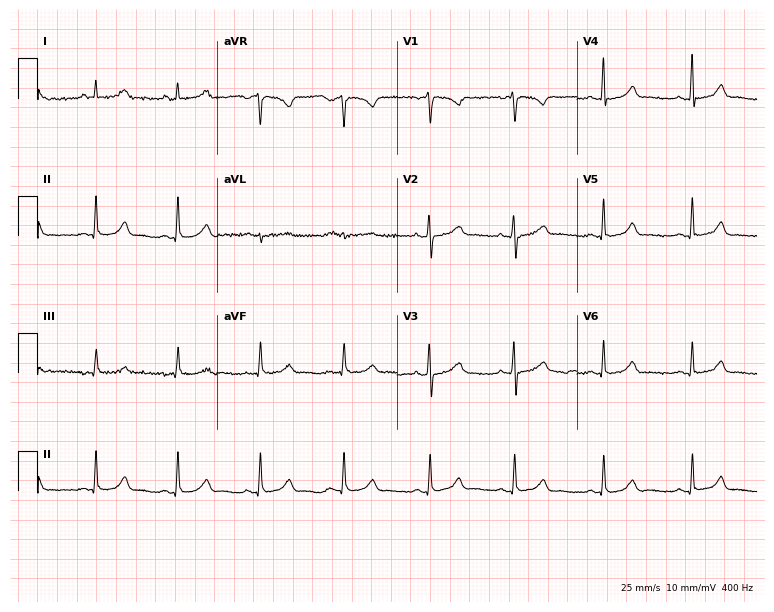
ECG — a female patient, 25 years old. Labelled as a normal ECG.